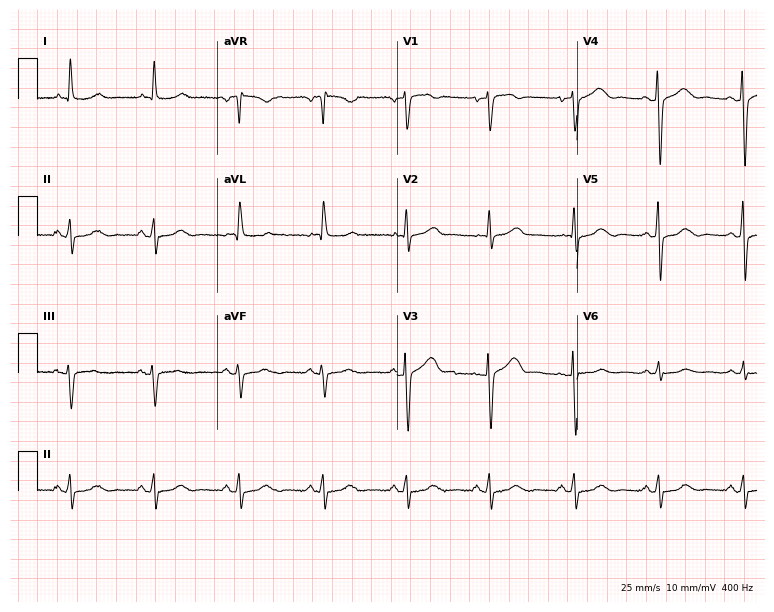
Resting 12-lead electrocardiogram. Patient: a 64-year-old female. Read as a normal ECG.